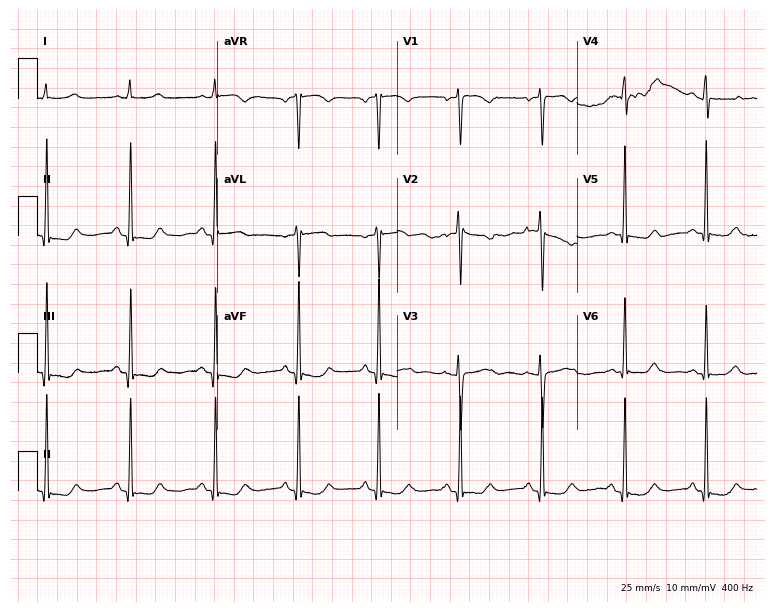
Electrocardiogram, a 42-year-old woman. Of the six screened findings (first-degree AV block, right bundle branch block (RBBB), left bundle branch block (LBBB), sinus bradycardia, atrial fibrillation (AF), sinus tachycardia), none is recorded. Only these six findings were labelled.